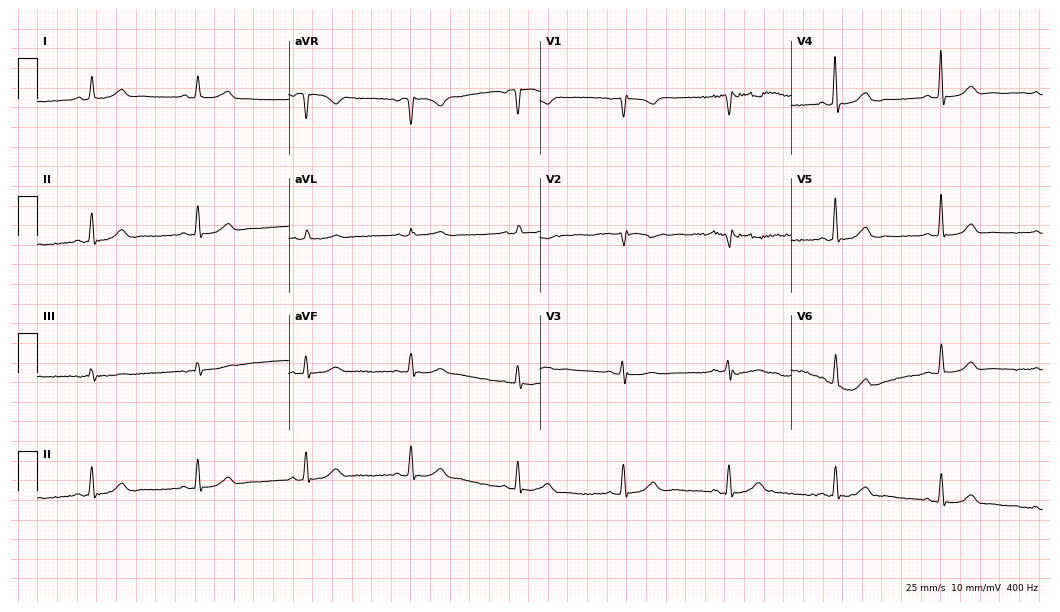
12-lead ECG (10.2-second recording at 400 Hz) from a female patient, 68 years old. Screened for six findings — first-degree AV block, right bundle branch block, left bundle branch block, sinus bradycardia, atrial fibrillation, sinus tachycardia — none is recorded. Other findings, if any, are not listed.